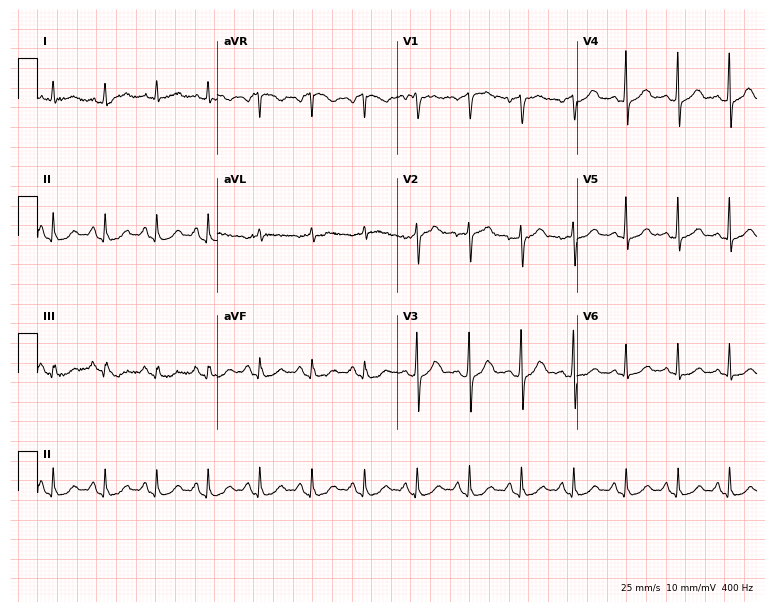
ECG (7.3-second recording at 400 Hz) — a 41-year-old male. Findings include sinus tachycardia (a sinus rate of 100 beats per minute or more).